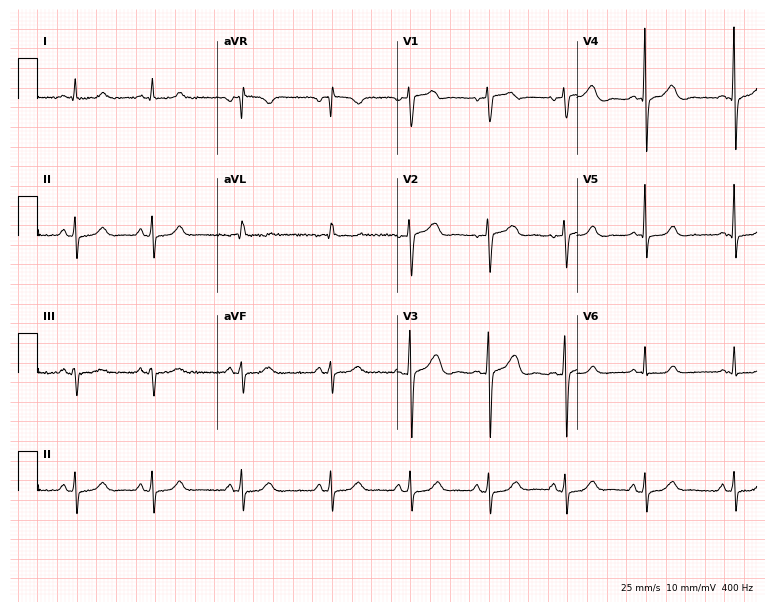
Electrocardiogram (7.3-second recording at 400 Hz), a 39-year-old female patient. Of the six screened findings (first-degree AV block, right bundle branch block (RBBB), left bundle branch block (LBBB), sinus bradycardia, atrial fibrillation (AF), sinus tachycardia), none is recorded. Only these six findings were labelled.